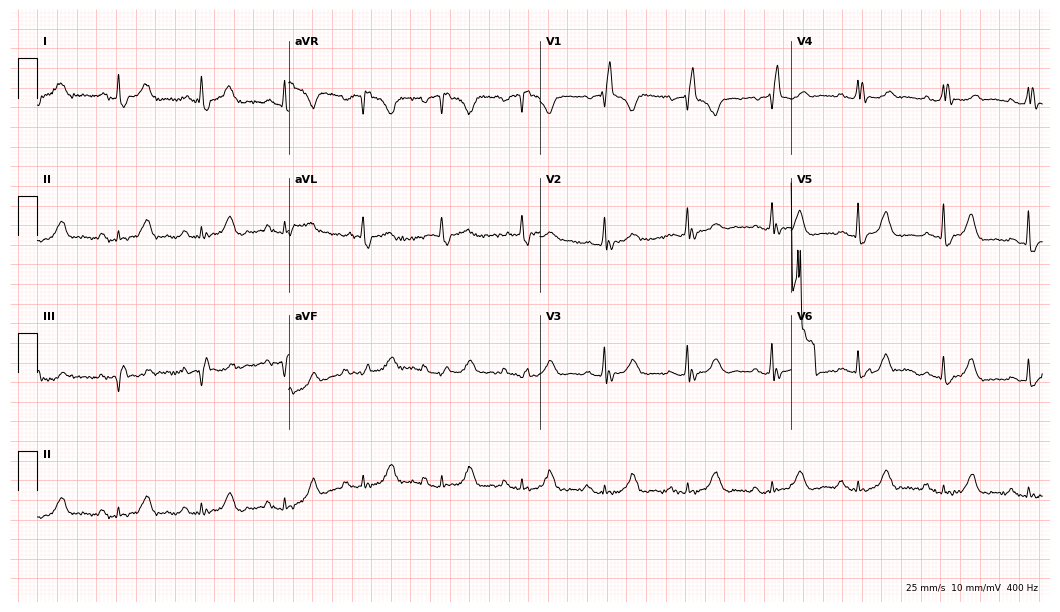
Electrocardiogram, an 81-year-old woman. Interpretation includes right bundle branch block.